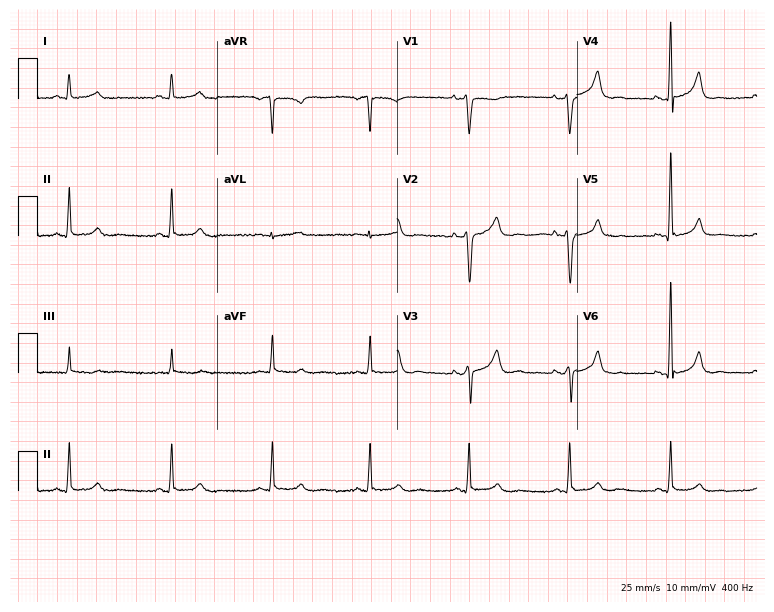
12-lead ECG (7.3-second recording at 400 Hz) from a male patient, 54 years old. Labelled as a normal ECG.